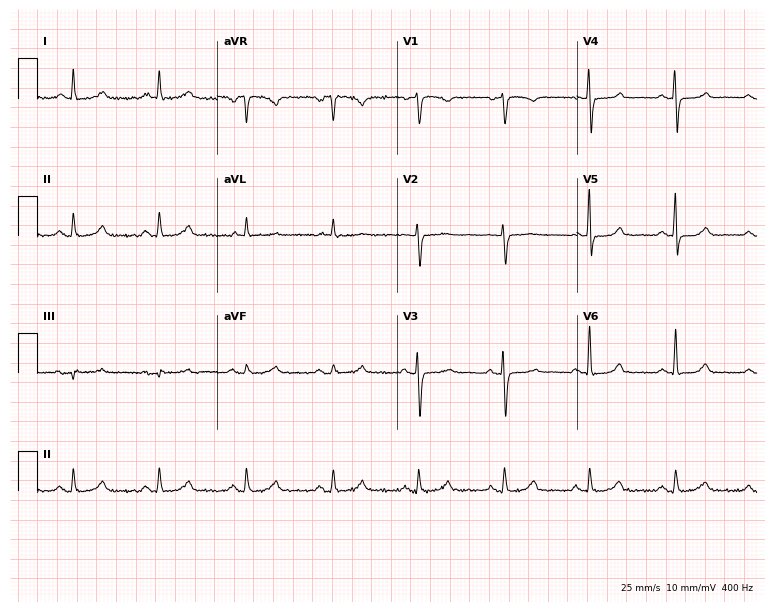
Resting 12-lead electrocardiogram. Patient: a female, 77 years old. Read as a normal ECG.